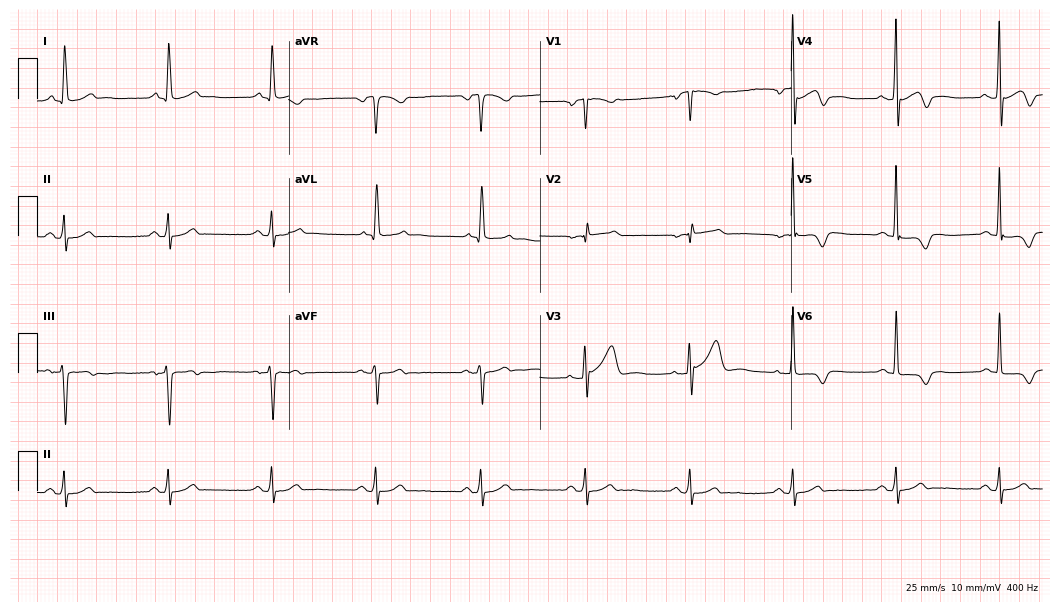
ECG — a woman, 75 years old. Screened for six findings — first-degree AV block, right bundle branch block, left bundle branch block, sinus bradycardia, atrial fibrillation, sinus tachycardia — none is recorded. Other findings, if any, are not listed.